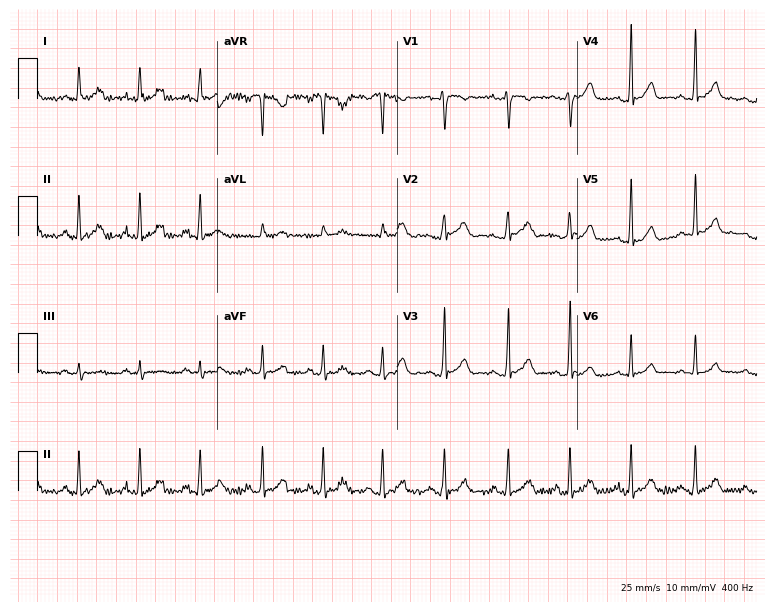
ECG — a 26-year-old woman. Screened for six findings — first-degree AV block, right bundle branch block, left bundle branch block, sinus bradycardia, atrial fibrillation, sinus tachycardia — none is recorded.